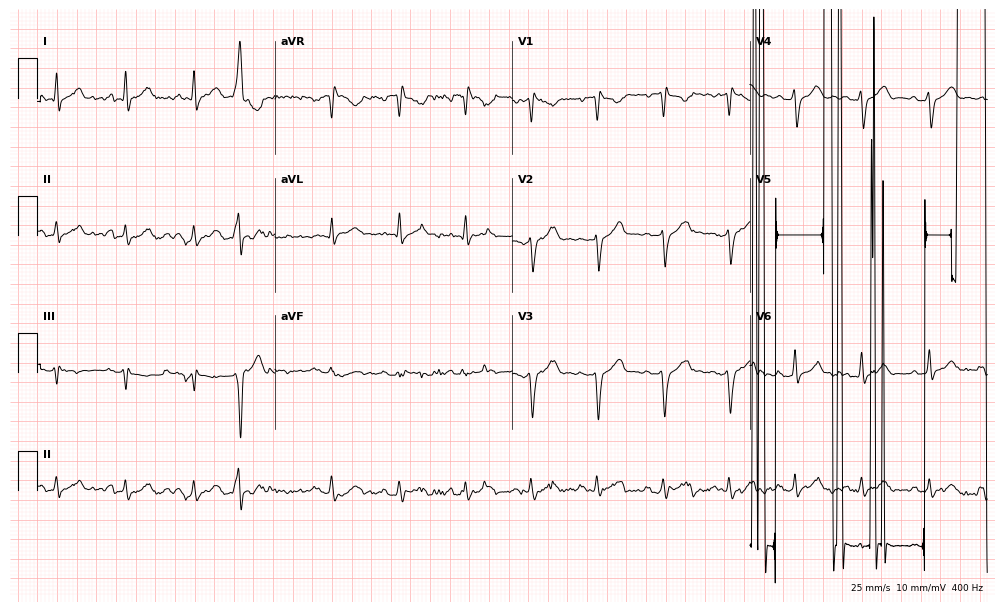
Resting 12-lead electrocardiogram (9.7-second recording at 400 Hz). Patient: a 48-year-old male. None of these six findings is recorded: first-degree AV block, right bundle branch block, left bundle branch block, sinus bradycardia, atrial fibrillation, sinus tachycardia. Other findings, if any, are not listed.